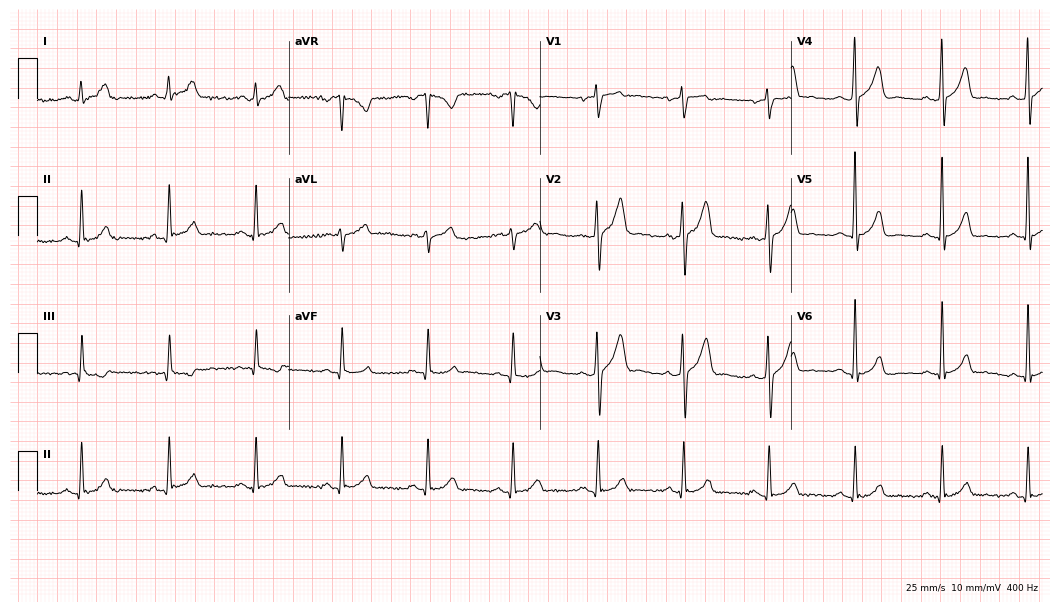
12-lead ECG from a 44-year-old male. Labelled as a normal ECG.